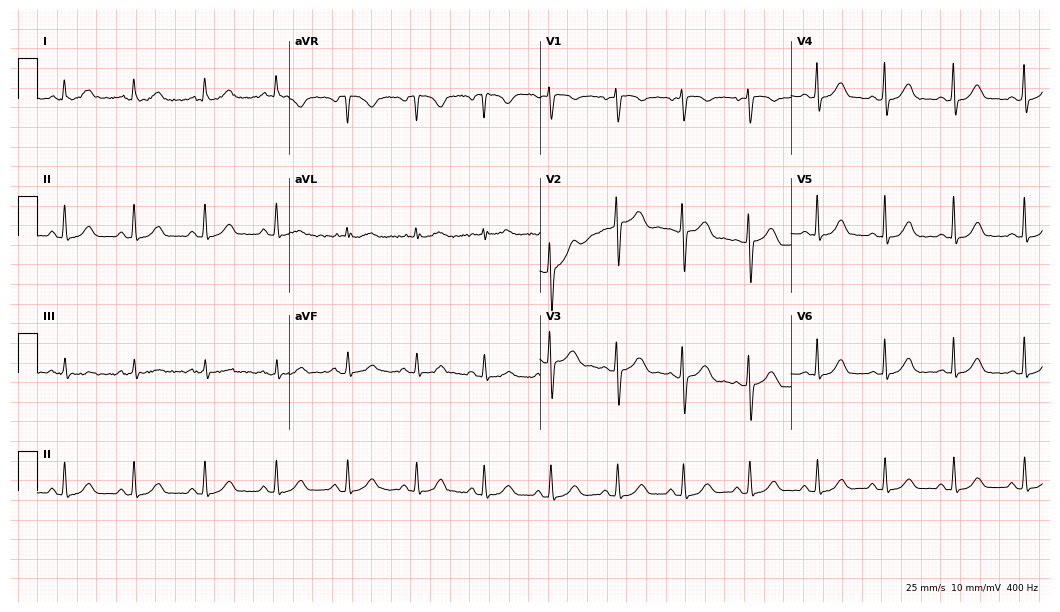
ECG — a 33-year-old female. Screened for six findings — first-degree AV block, right bundle branch block (RBBB), left bundle branch block (LBBB), sinus bradycardia, atrial fibrillation (AF), sinus tachycardia — none is recorded.